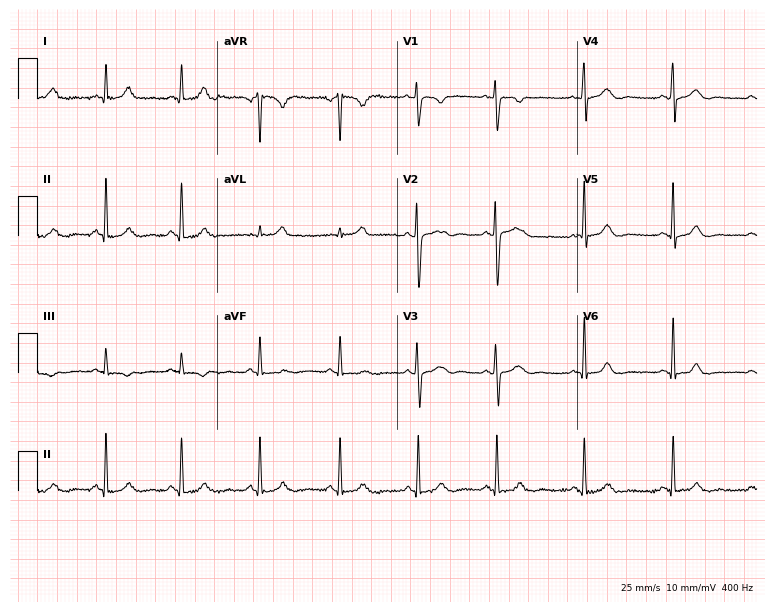
12-lead ECG from a female, 32 years old. No first-degree AV block, right bundle branch block, left bundle branch block, sinus bradycardia, atrial fibrillation or sinus tachycardia recorded for this tracing. Findings outside these six are not listed.